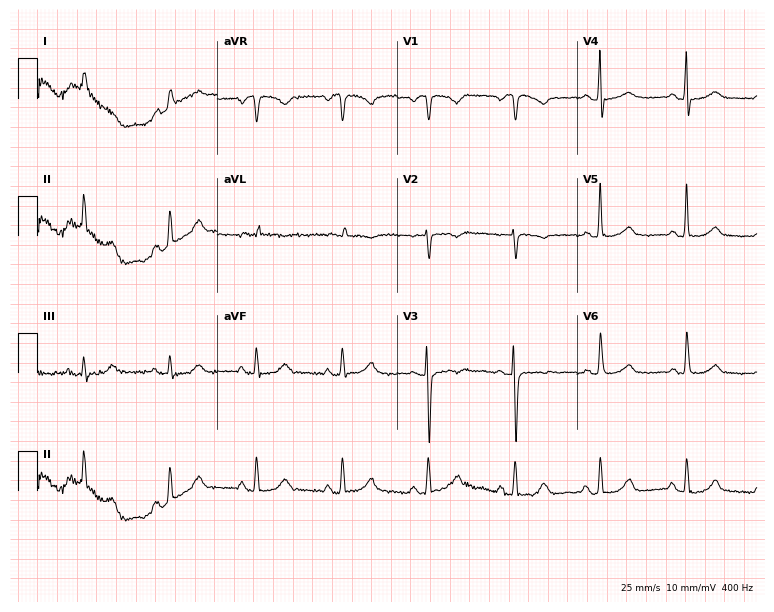
12-lead ECG from a female patient, 77 years old. Screened for six findings — first-degree AV block, right bundle branch block, left bundle branch block, sinus bradycardia, atrial fibrillation, sinus tachycardia — none is recorded. Findings outside these six are not listed.